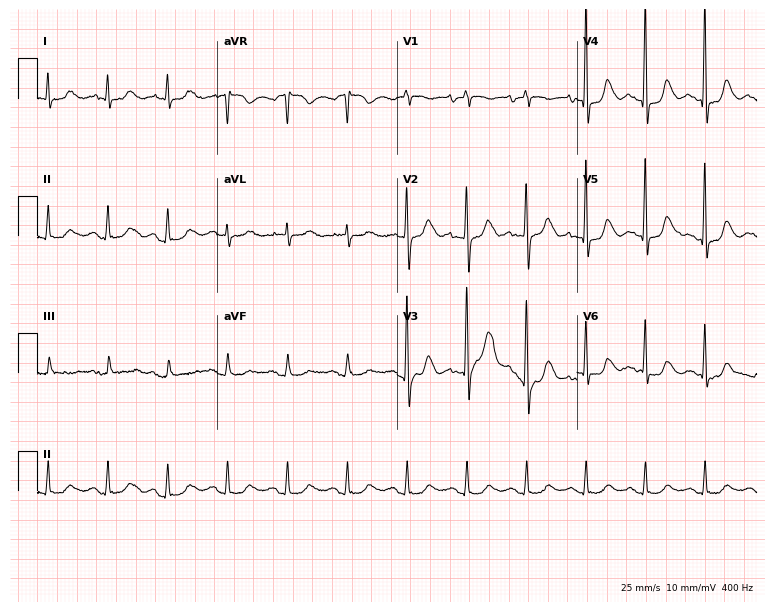
Resting 12-lead electrocardiogram (7.3-second recording at 400 Hz). Patient: a 73-year-old female. Read as a normal ECG.